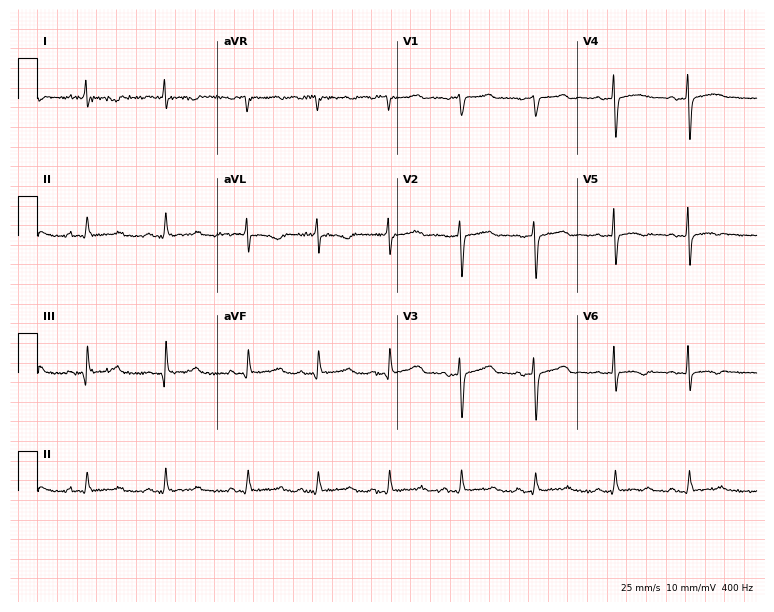
ECG (7.3-second recording at 400 Hz) — a 54-year-old woman. Screened for six findings — first-degree AV block, right bundle branch block (RBBB), left bundle branch block (LBBB), sinus bradycardia, atrial fibrillation (AF), sinus tachycardia — none is recorded. Only these six findings were labelled.